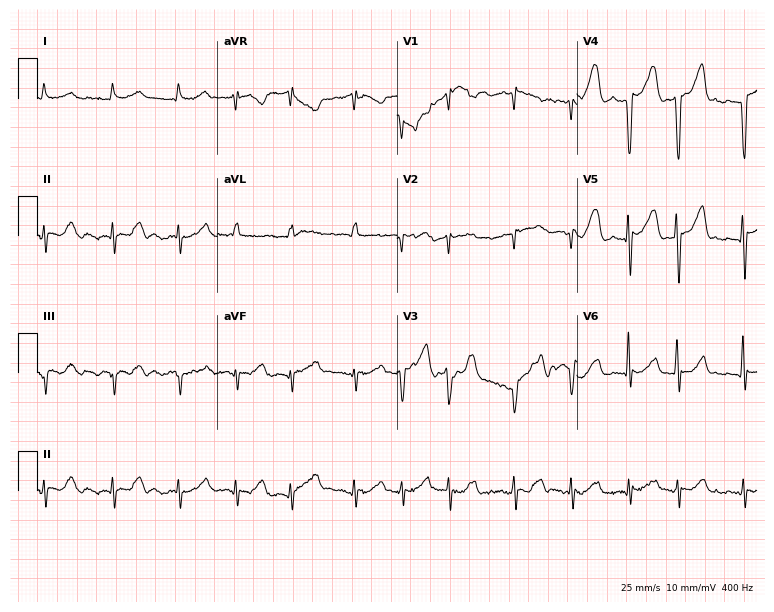
12-lead ECG (7.3-second recording at 400 Hz) from a male patient, 80 years old. Findings include atrial fibrillation, sinus tachycardia (a sinus rate of 100 beats per minute or more).